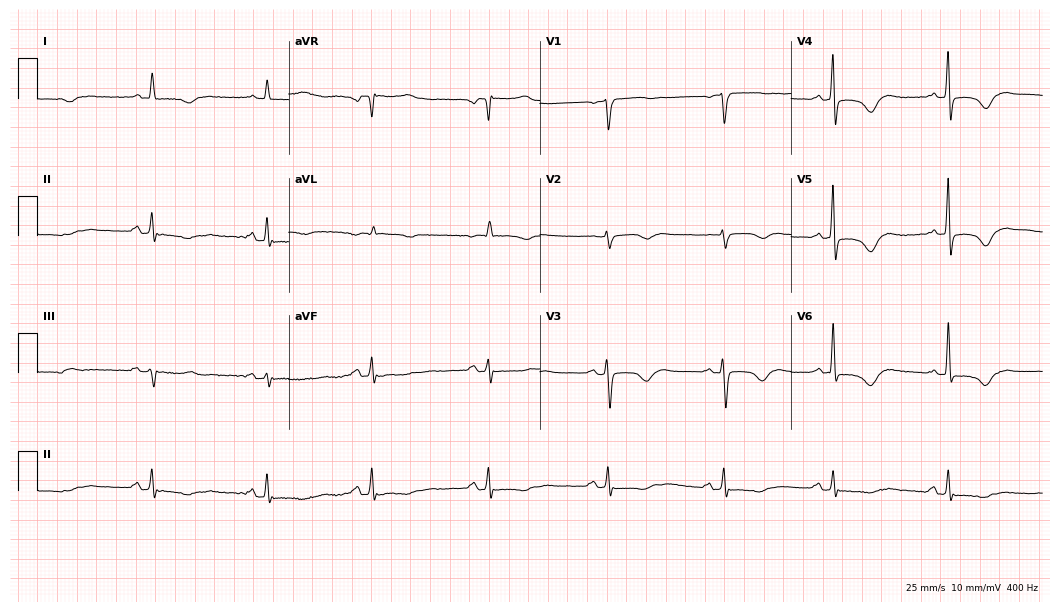
Resting 12-lead electrocardiogram (10.2-second recording at 400 Hz). Patient: a female, 64 years old. Read as a normal ECG.